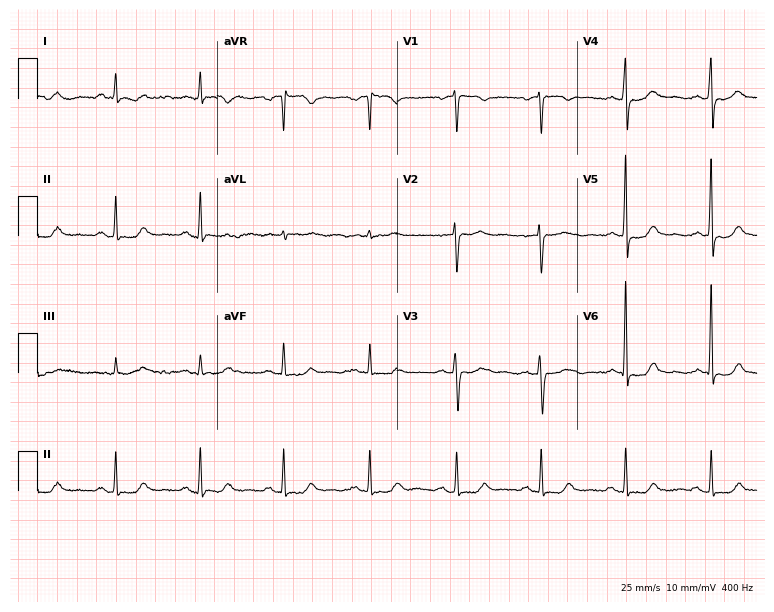
12-lead ECG from a 75-year-old female patient (7.3-second recording at 400 Hz). No first-degree AV block, right bundle branch block, left bundle branch block, sinus bradycardia, atrial fibrillation or sinus tachycardia recorded for this tracing.